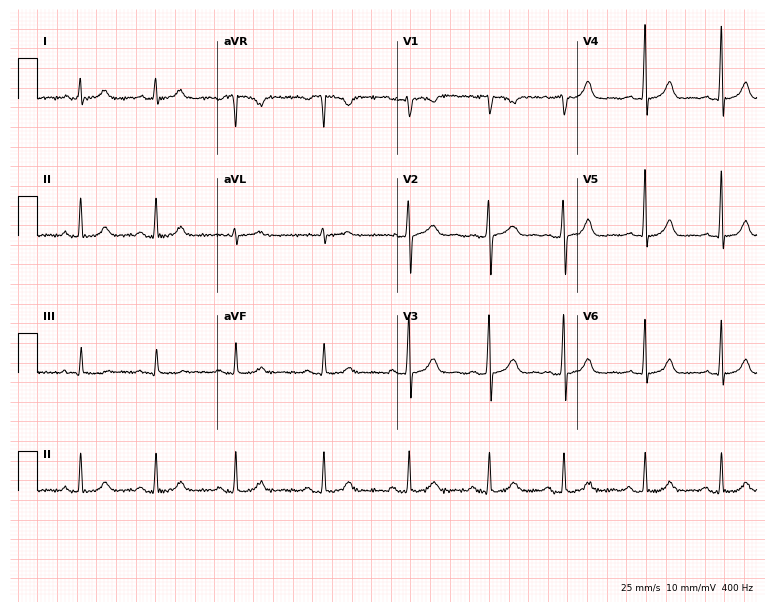
Standard 12-lead ECG recorded from a 29-year-old female patient. Read as a normal ECG.